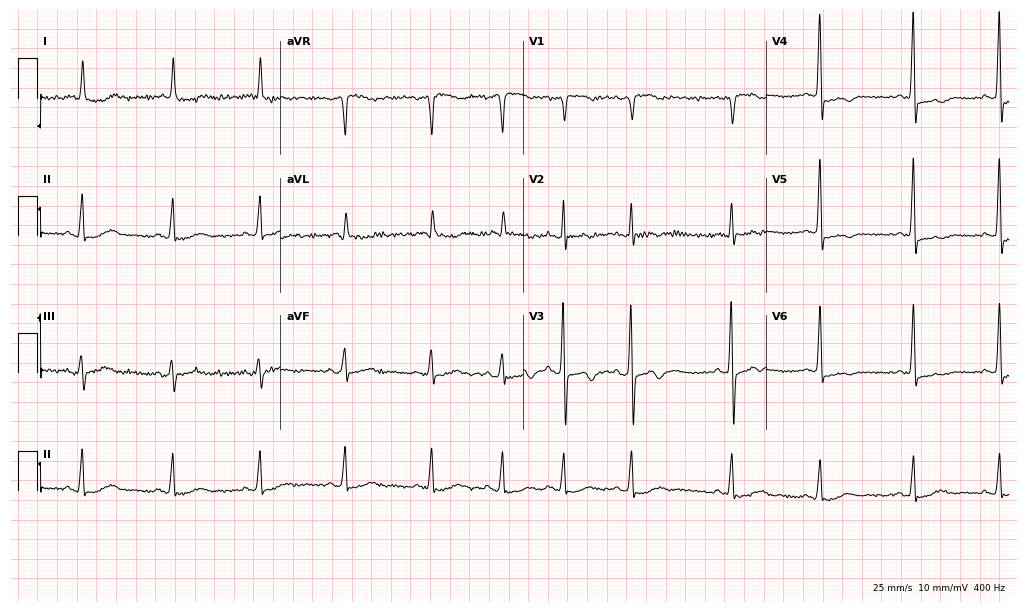
Electrocardiogram (9.9-second recording at 400 Hz), a 77-year-old woman. Of the six screened findings (first-degree AV block, right bundle branch block, left bundle branch block, sinus bradycardia, atrial fibrillation, sinus tachycardia), none is recorded.